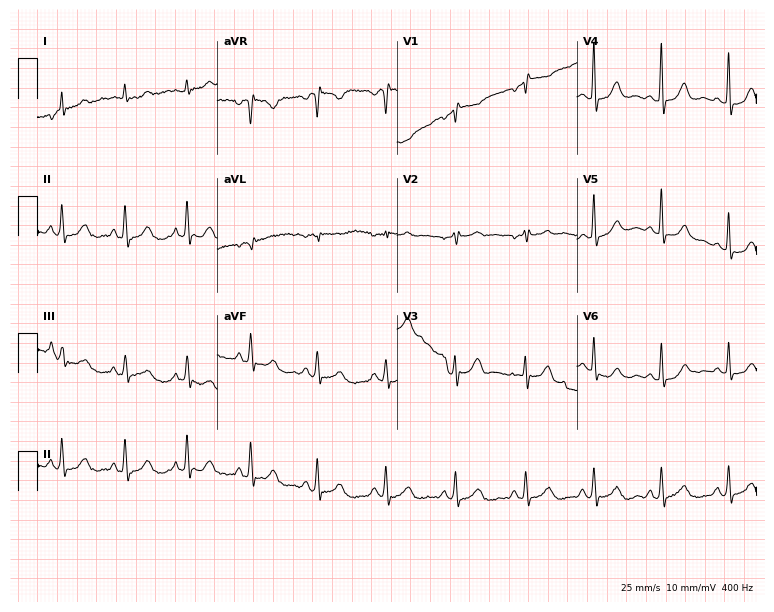
Standard 12-lead ECG recorded from a woman, 76 years old (7.3-second recording at 400 Hz). None of these six findings is recorded: first-degree AV block, right bundle branch block (RBBB), left bundle branch block (LBBB), sinus bradycardia, atrial fibrillation (AF), sinus tachycardia. Only these six findings were labelled.